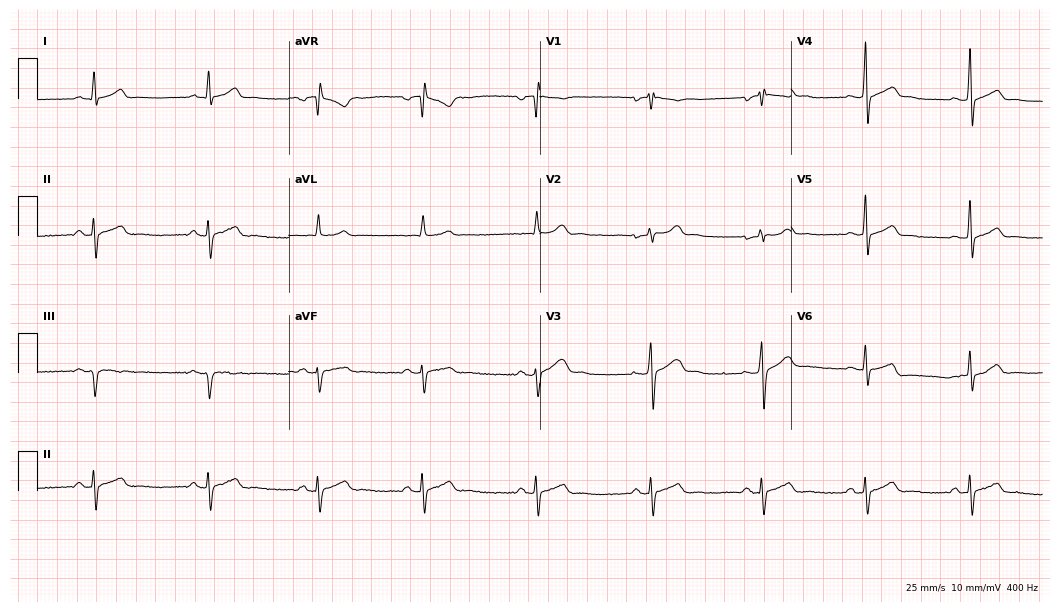
Standard 12-lead ECG recorded from a man, 30 years old. Read as a normal ECG.